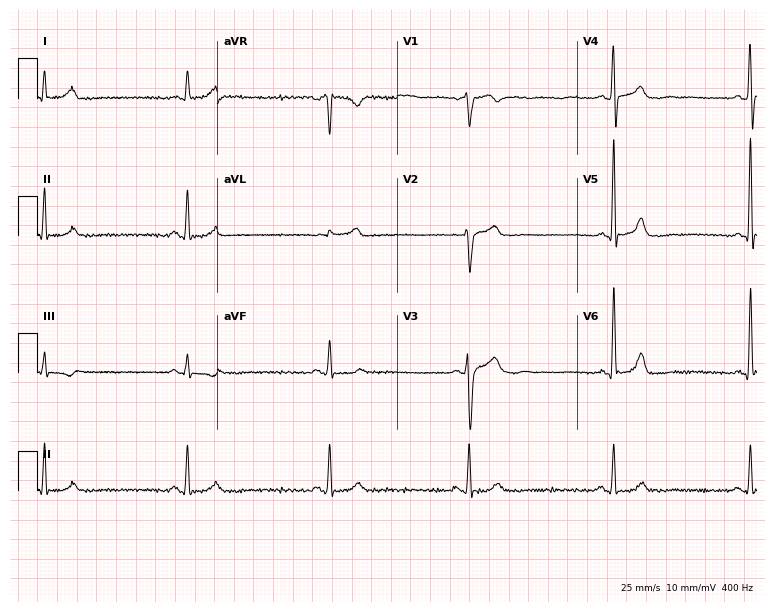
Resting 12-lead electrocardiogram. Patient: a 58-year-old male. The tracing shows sinus bradycardia (a sinus rate of 50 beats per minute or less).